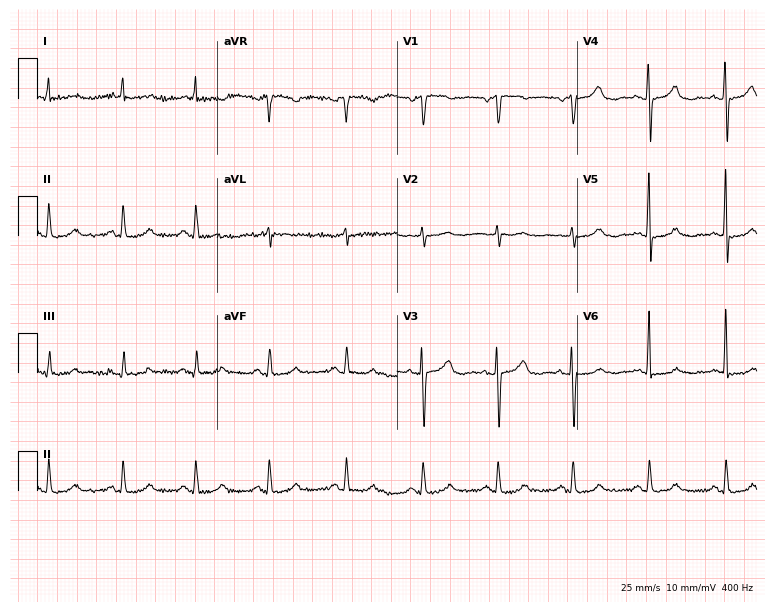
Resting 12-lead electrocardiogram (7.3-second recording at 400 Hz). Patient: a 65-year-old woman. None of these six findings is recorded: first-degree AV block, right bundle branch block, left bundle branch block, sinus bradycardia, atrial fibrillation, sinus tachycardia.